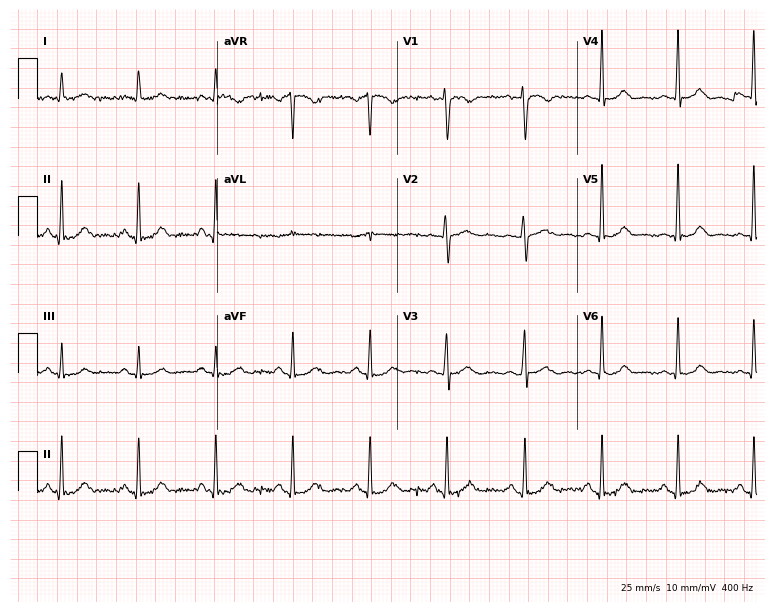
Electrocardiogram, a 70-year-old female patient. Of the six screened findings (first-degree AV block, right bundle branch block, left bundle branch block, sinus bradycardia, atrial fibrillation, sinus tachycardia), none is recorded. Other findings, if any, are not listed.